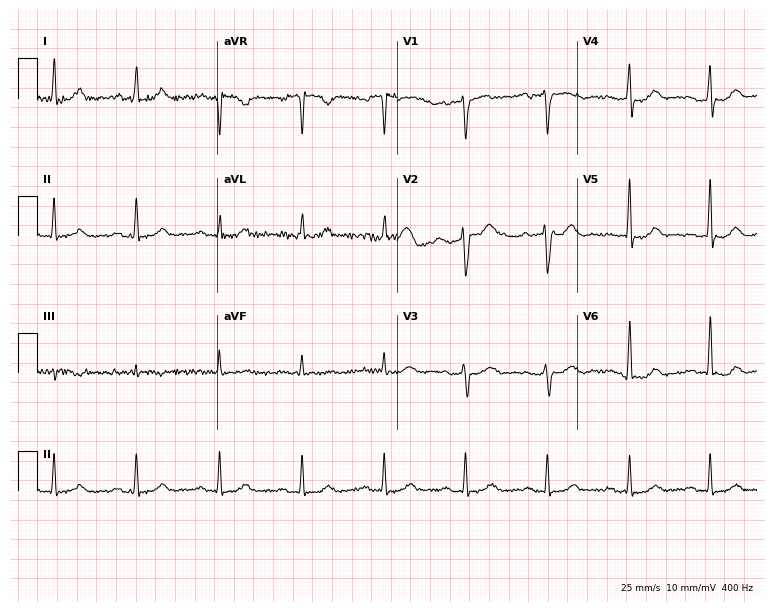
ECG (7.3-second recording at 400 Hz) — a female patient, 59 years old. Screened for six findings — first-degree AV block, right bundle branch block, left bundle branch block, sinus bradycardia, atrial fibrillation, sinus tachycardia — none is recorded. Other findings, if any, are not listed.